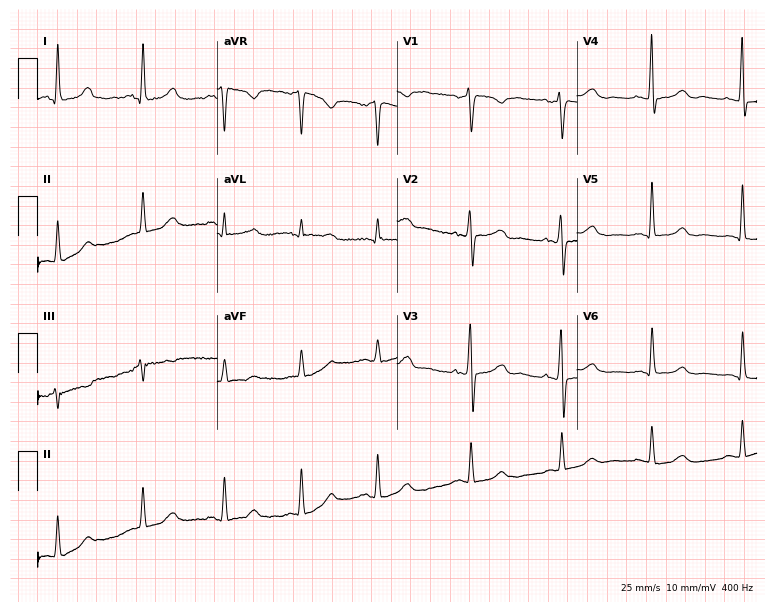
12-lead ECG from a female, 38 years old. Screened for six findings — first-degree AV block, right bundle branch block, left bundle branch block, sinus bradycardia, atrial fibrillation, sinus tachycardia — none is recorded.